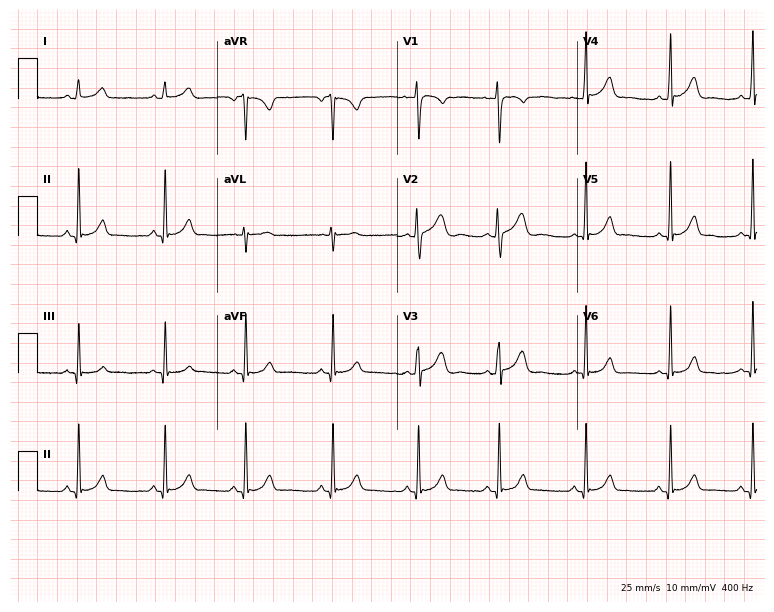
Electrocardiogram (7.3-second recording at 400 Hz), a woman, 17 years old. Of the six screened findings (first-degree AV block, right bundle branch block (RBBB), left bundle branch block (LBBB), sinus bradycardia, atrial fibrillation (AF), sinus tachycardia), none is recorded.